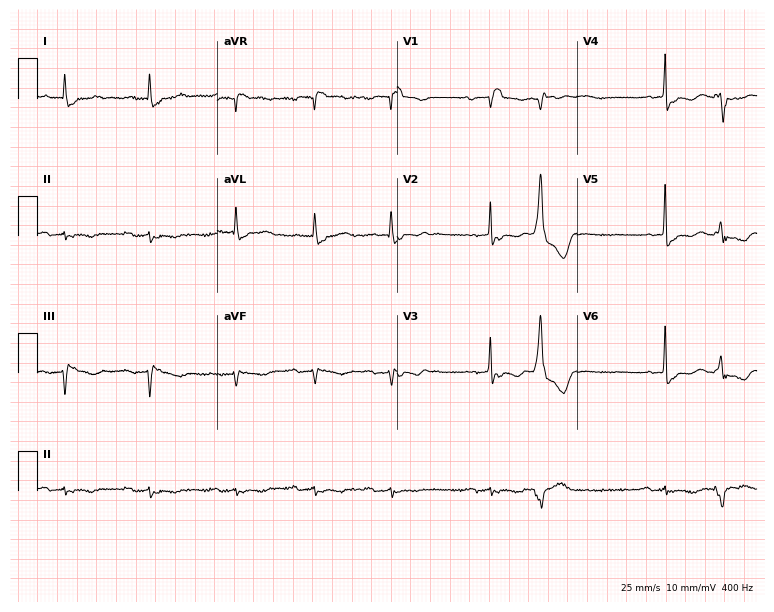
ECG (7.3-second recording at 400 Hz) — a 77-year-old female. Screened for six findings — first-degree AV block, right bundle branch block (RBBB), left bundle branch block (LBBB), sinus bradycardia, atrial fibrillation (AF), sinus tachycardia — none is recorded.